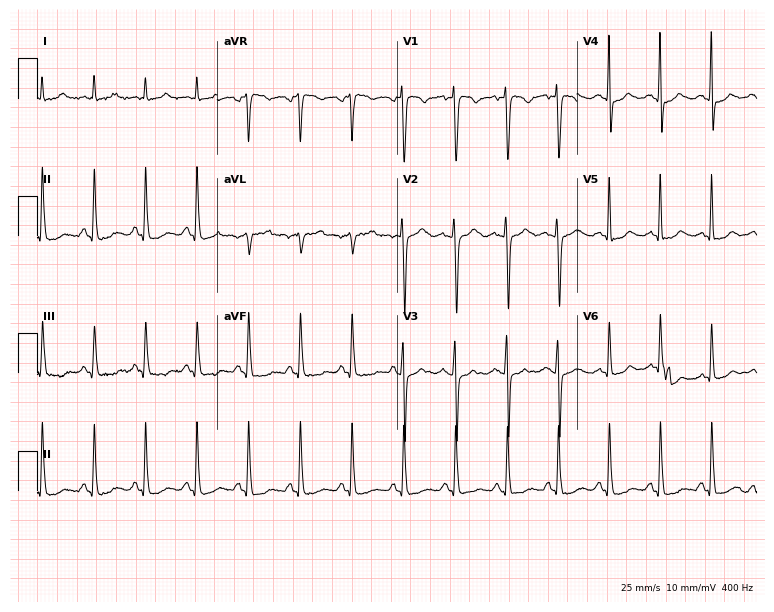
Resting 12-lead electrocardiogram. Patient: a 36-year-old female. The tracing shows sinus tachycardia (a sinus rate of 100 beats per minute or more).